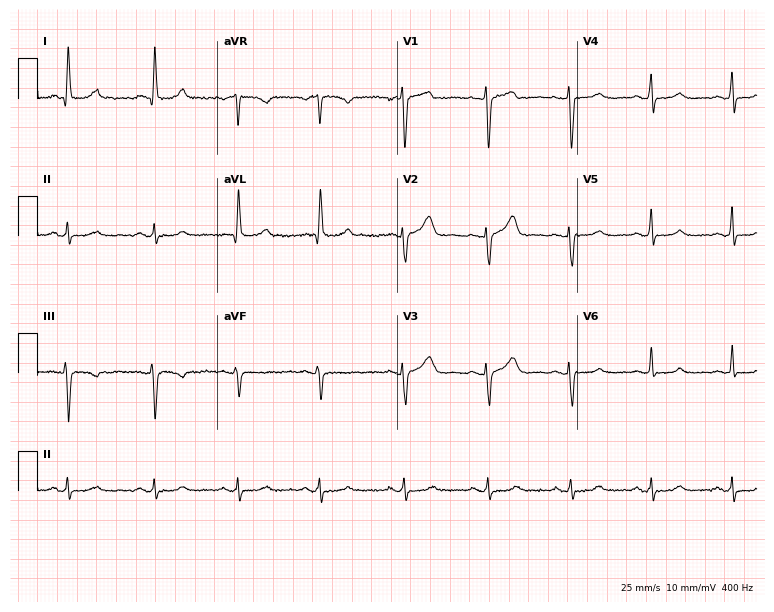
ECG — a woman, 48 years old. Screened for six findings — first-degree AV block, right bundle branch block (RBBB), left bundle branch block (LBBB), sinus bradycardia, atrial fibrillation (AF), sinus tachycardia — none is recorded.